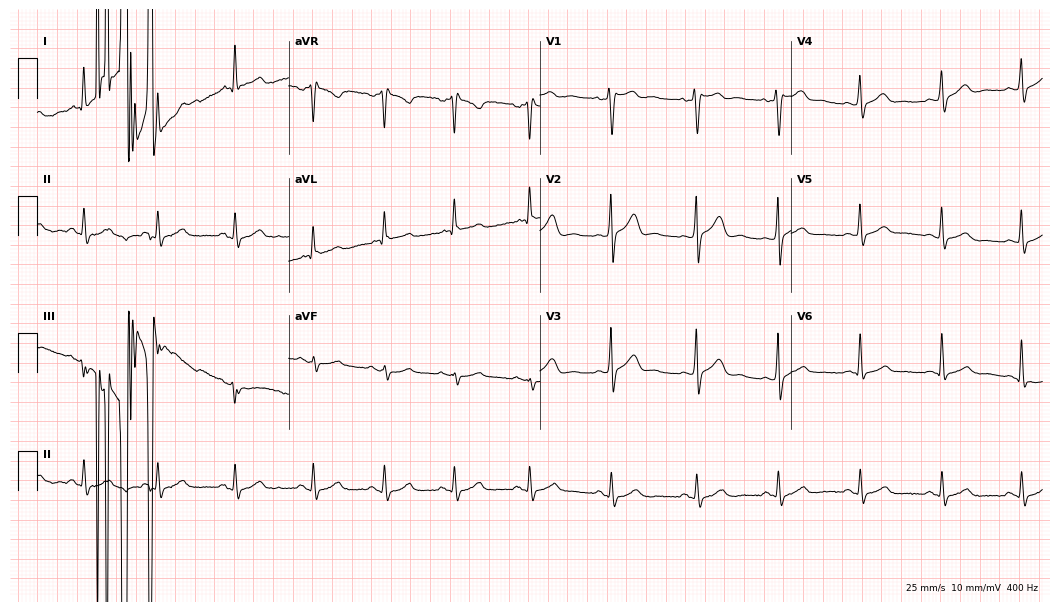
ECG (10.2-second recording at 400 Hz) — a 49-year-old male. Screened for six findings — first-degree AV block, right bundle branch block, left bundle branch block, sinus bradycardia, atrial fibrillation, sinus tachycardia — none is recorded.